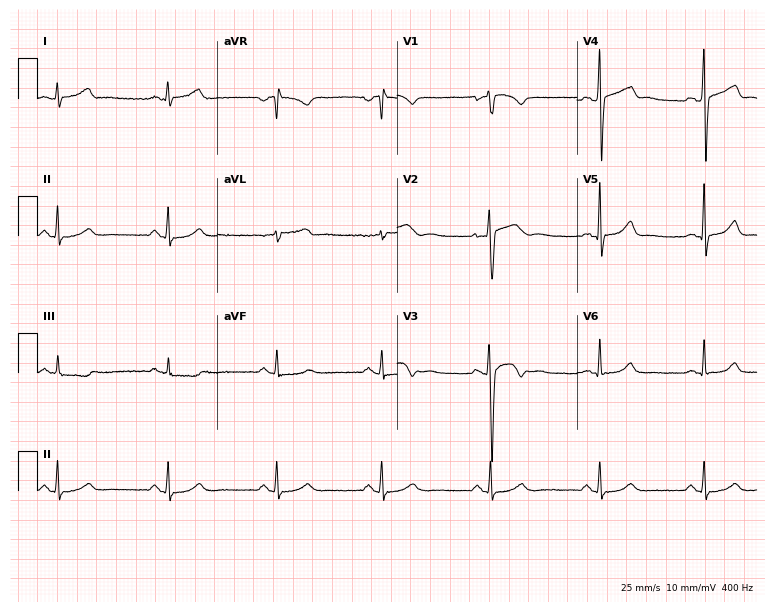
12-lead ECG from a 34-year-old man. Labelled as a normal ECG.